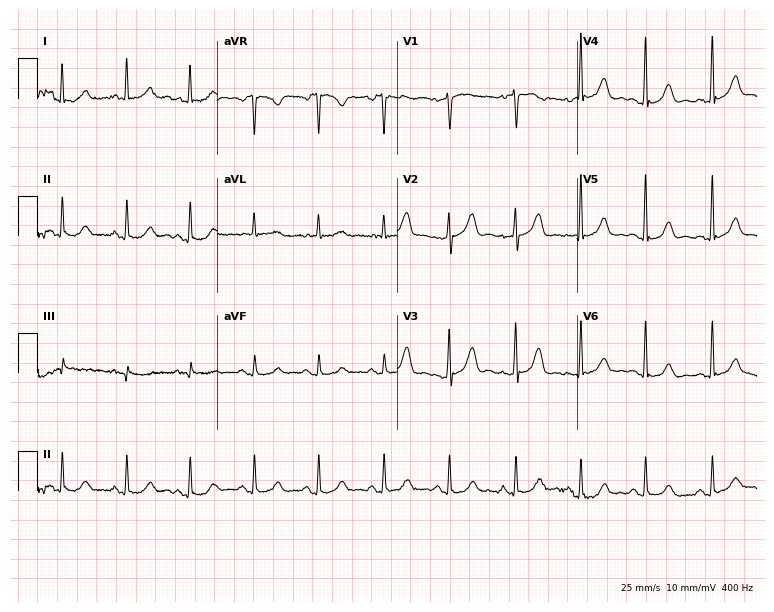
Standard 12-lead ECG recorded from a 51-year-old female patient (7.3-second recording at 400 Hz). None of these six findings is recorded: first-degree AV block, right bundle branch block, left bundle branch block, sinus bradycardia, atrial fibrillation, sinus tachycardia.